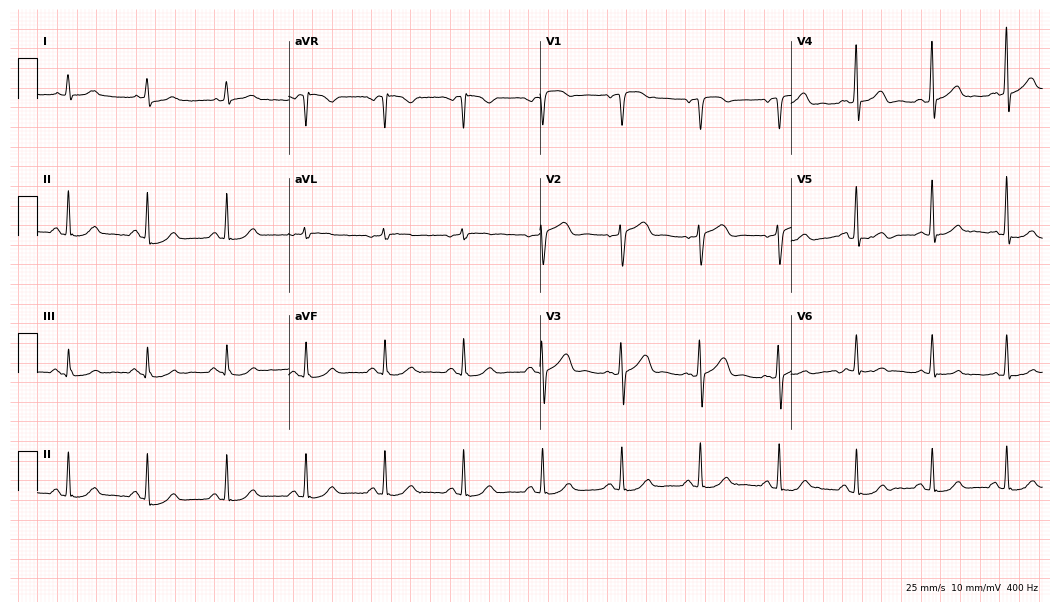
ECG (10.2-second recording at 400 Hz) — a 74-year-old man. Labelled as a normal ECG.